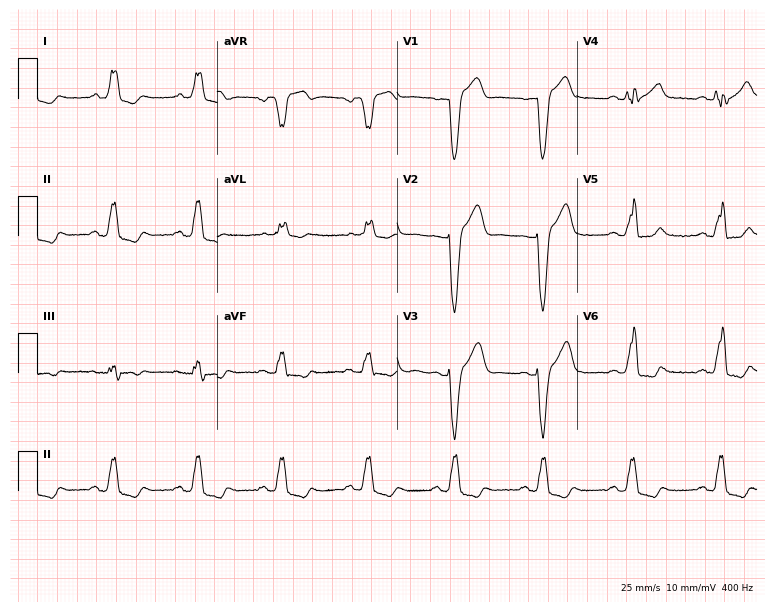
ECG (7.3-second recording at 400 Hz) — a man, 78 years old. Findings include left bundle branch block.